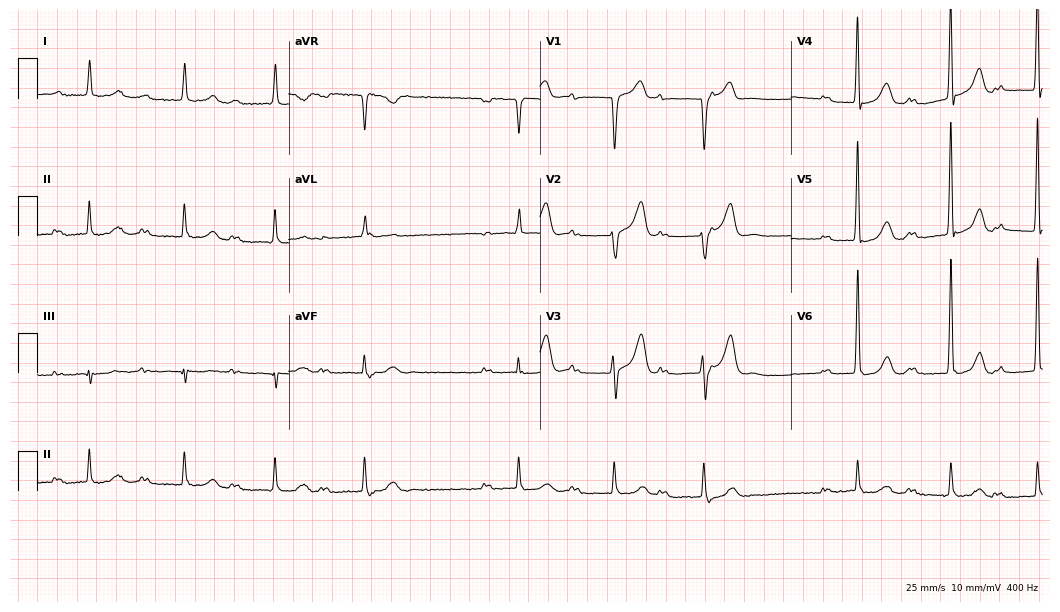
ECG (10.2-second recording at 400 Hz) — a male, 84 years old. Findings include first-degree AV block.